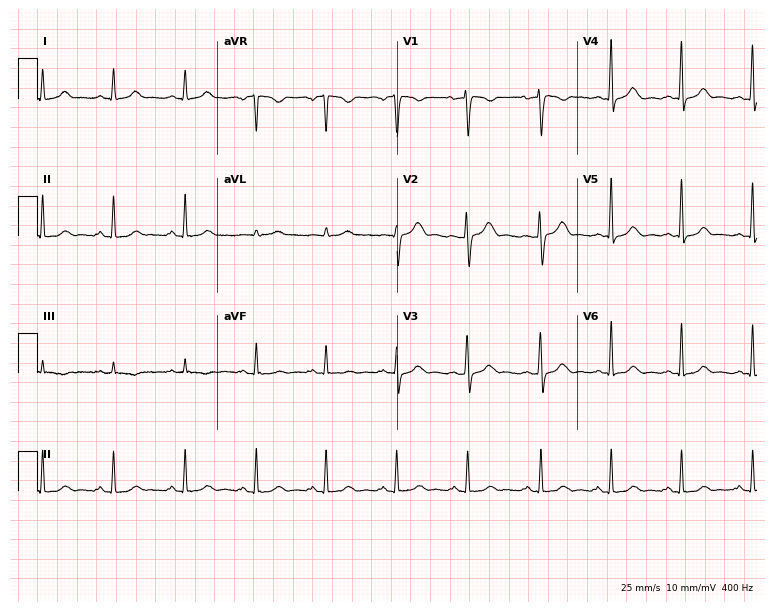
Electrocardiogram (7.3-second recording at 400 Hz), a 44-year-old female. Overall reading on record: normal ECG.